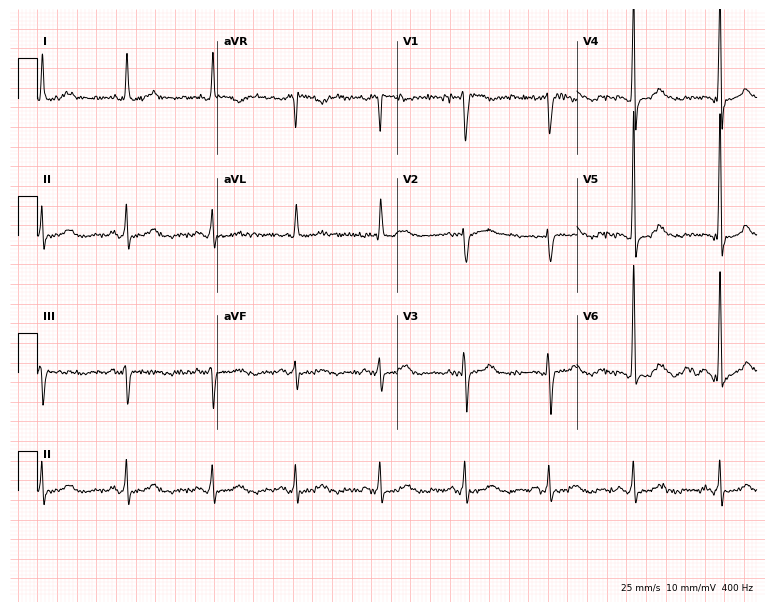
Electrocardiogram, a woman, 76 years old. Of the six screened findings (first-degree AV block, right bundle branch block, left bundle branch block, sinus bradycardia, atrial fibrillation, sinus tachycardia), none is recorded.